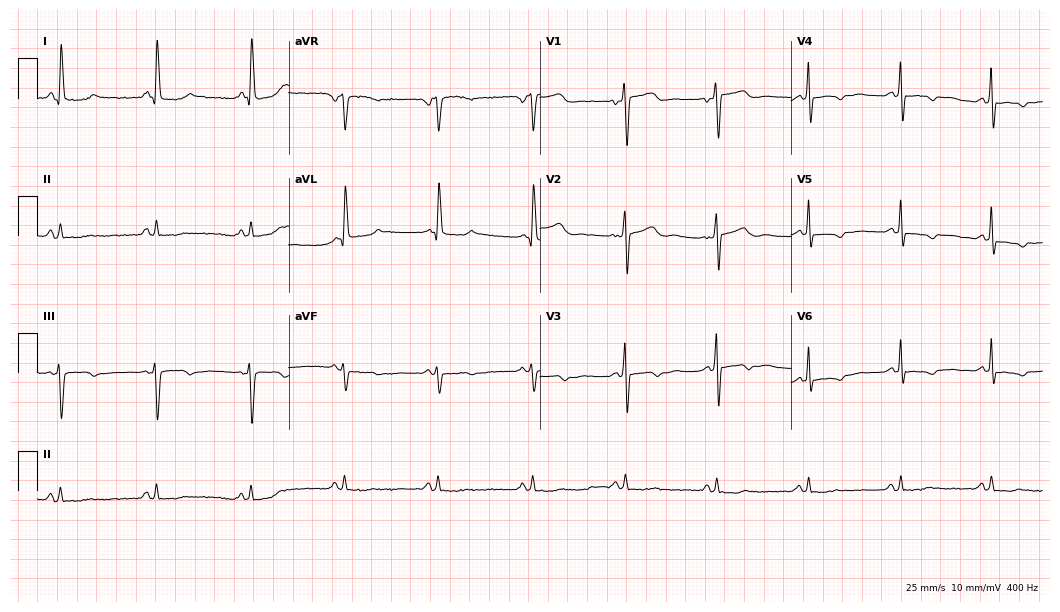
12-lead ECG from a female, 73 years old. Screened for six findings — first-degree AV block, right bundle branch block (RBBB), left bundle branch block (LBBB), sinus bradycardia, atrial fibrillation (AF), sinus tachycardia — none is recorded. Other findings, if any, are not listed.